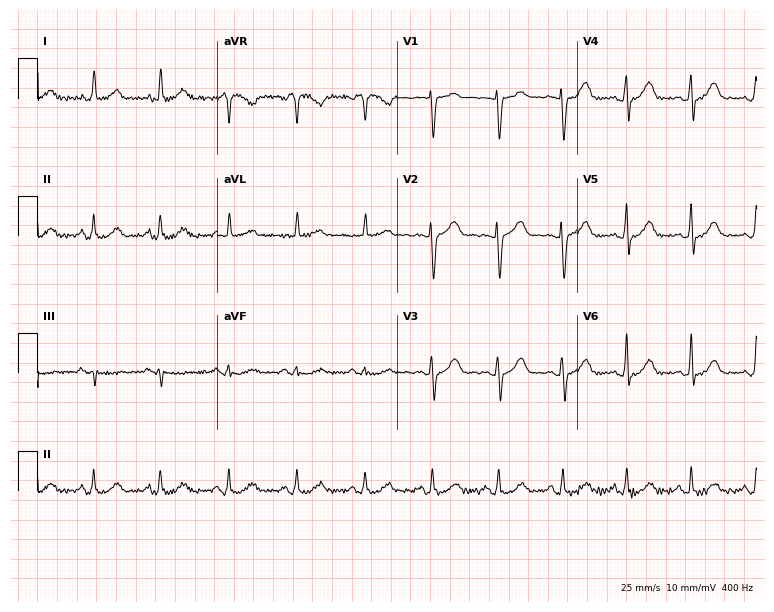
12-lead ECG from a 55-year-old female patient. Labelled as a normal ECG.